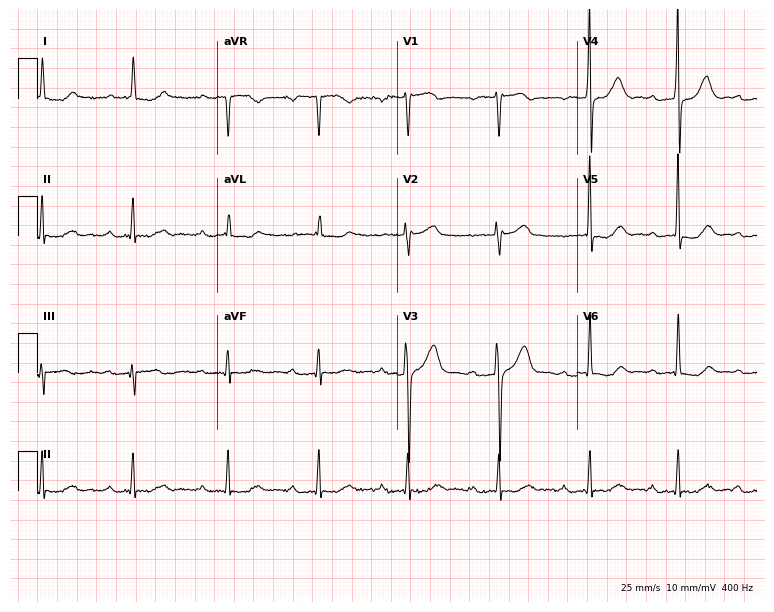
Resting 12-lead electrocardiogram. Patient: a woman, 62 years old. Read as a normal ECG.